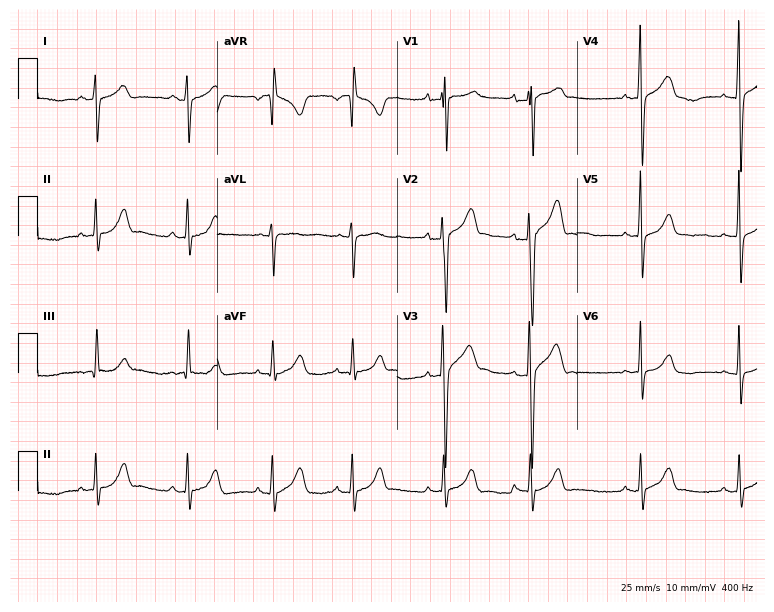
12-lead ECG from a male, 18 years old. No first-degree AV block, right bundle branch block (RBBB), left bundle branch block (LBBB), sinus bradycardia, atrial fibrillation (AF) or sinus tachycardia recorded for this tracing. Other findings, if any, are not listed.